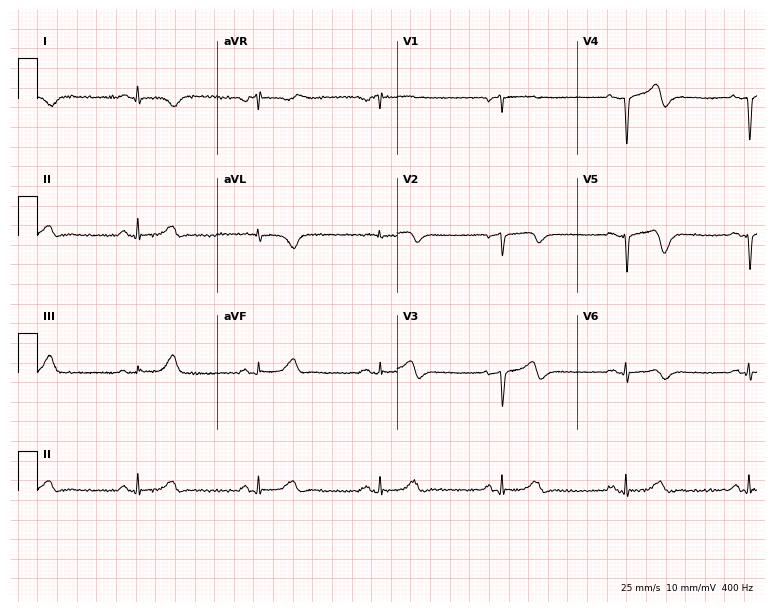
12-lead ECG from a woman, 74 years old. Shows sinus bradycardia (a sinus rate of 50 beats per minute or less).